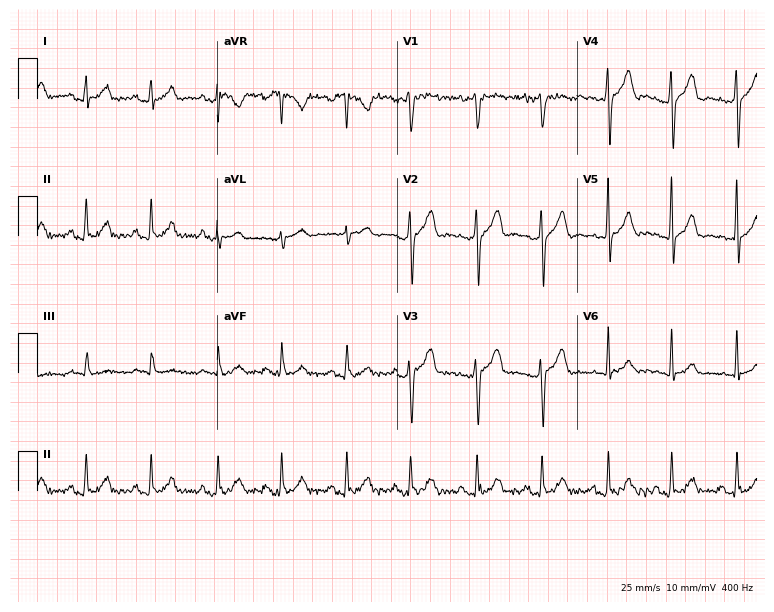
12-lead ECG from a 38-year-old male. Screened for six findings — first-degree AV block, right bundle branch block, left bundle branch block, sinus bradycardia, atrial fibrillation, sinus tachycardia — none is recorded. Findings outside these six are not listed.